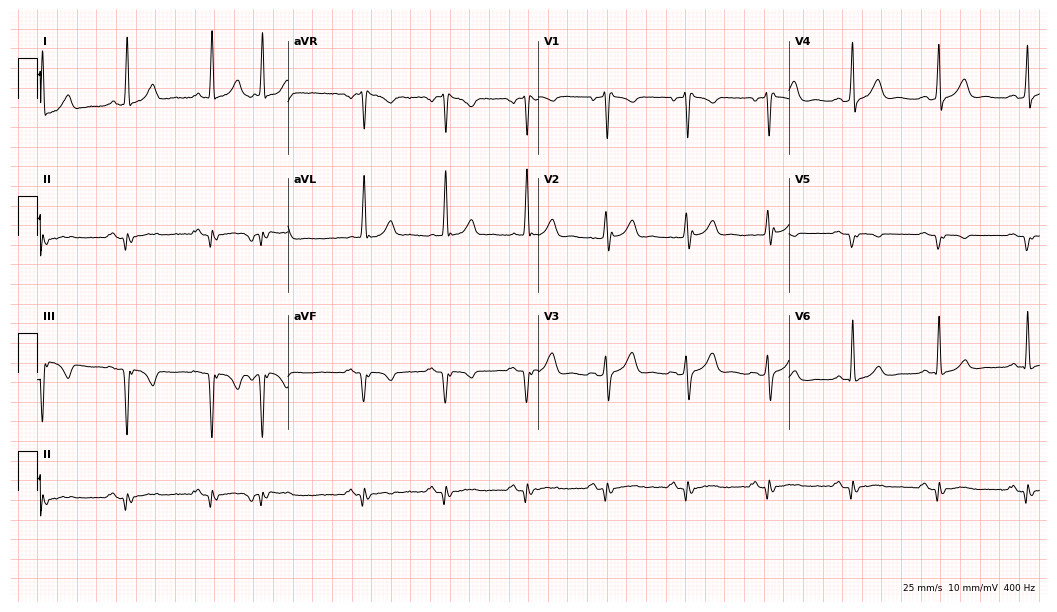
Resting 12-lead electrocardiogram (10.2-second recording at 400 Hz). Patient: a male, 45 years old. None of these six findings is recorded: first-degree AV block, right bundle branch block, left bundle branch block, sinus bradycardia, atrial fibrillation, sinus tachycardia. Only these six findings were labelled.